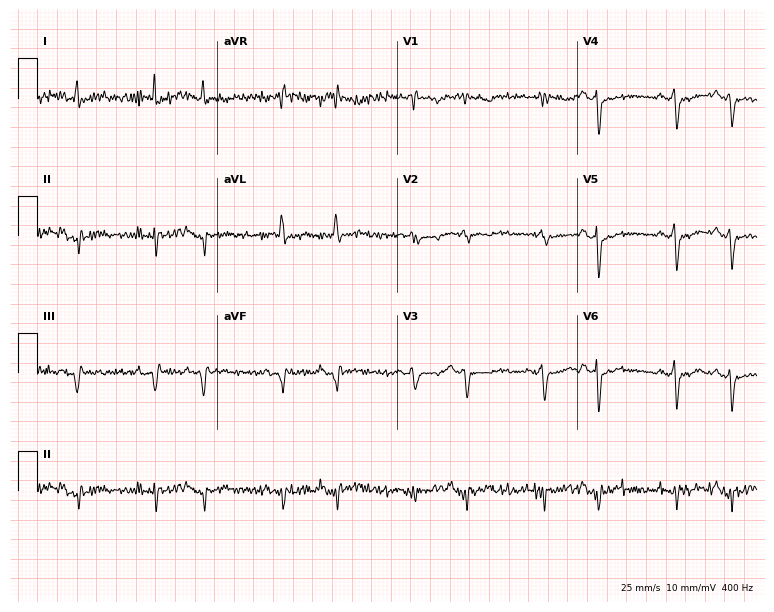
12-lead ECG from a 79-year-old man. No first-degree AV block, right bundle branch block (RBBB), left bundle branch block (LBBB), sinus bradycardia, atrial fibrillation (AF) or sinus tachycardia recorded for this tracing. Findings outside these six are not listed.